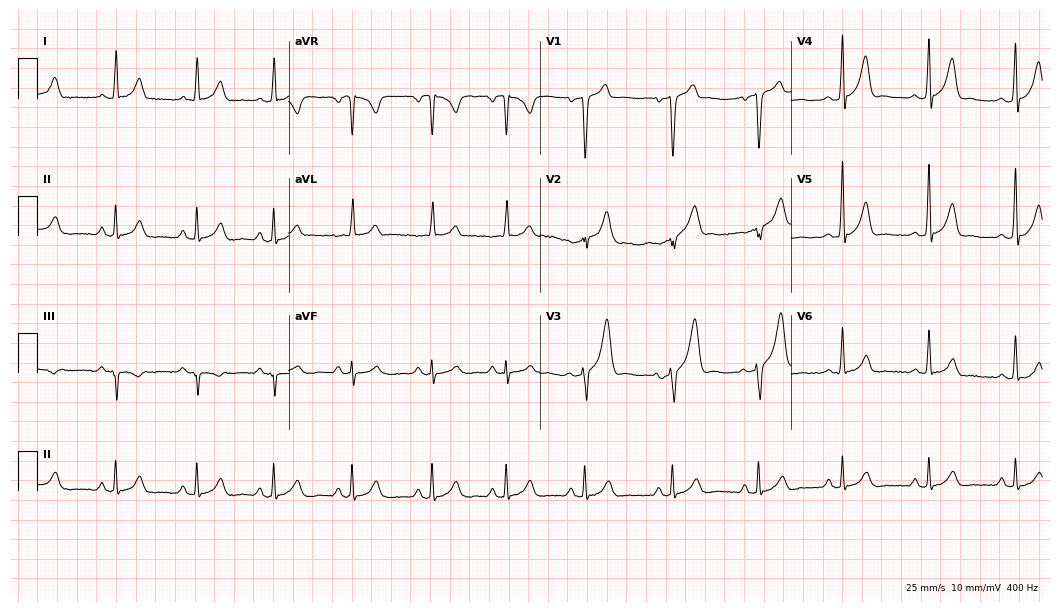
12-lead ECG from a male, 42 years old. Labelled as a normal ECG.